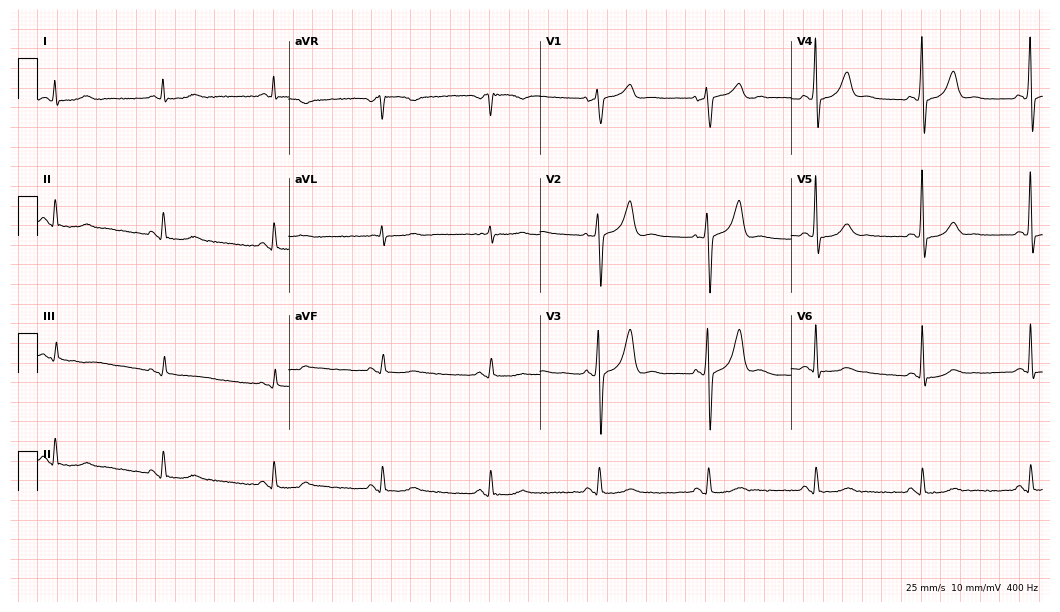
Resting 12-lead electrocardiogram (10.2-second recording at 400 Hz). Patient: a male, 69 years old. Read as a normal ECG.